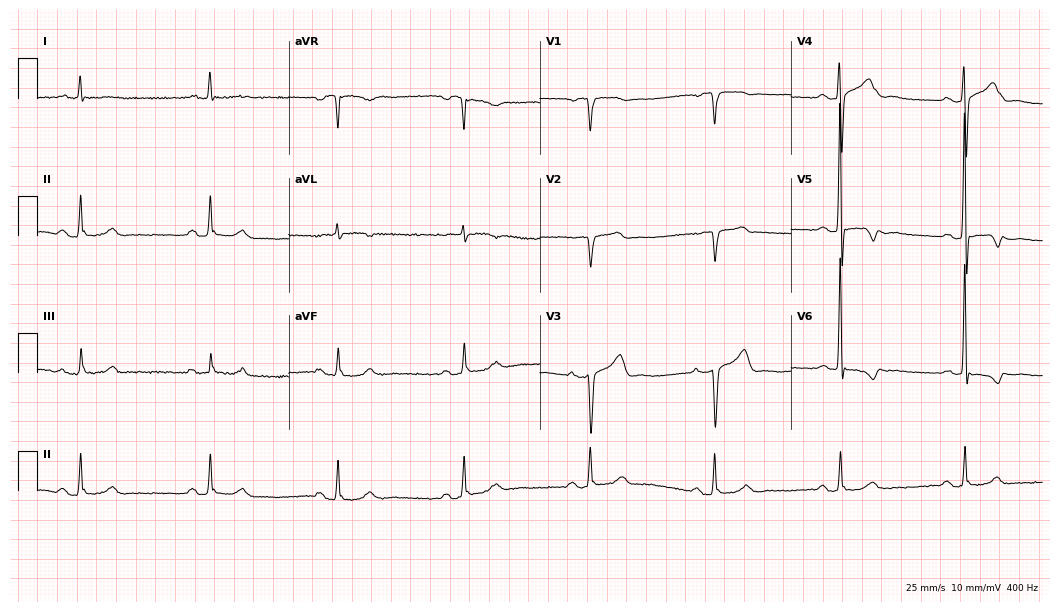
12-lead ECG from an 81-year-old male. Findings include first-degree AV block, sinus bradycardia (a sinus rate of 50 beats per minute or less).